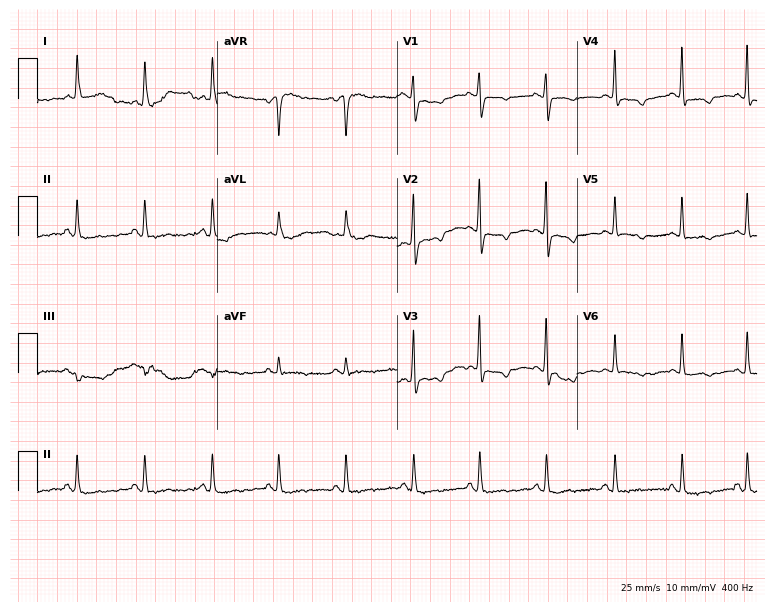
Electrocardiogram (7.3-second recording at 400 Hz), a 70-year-old woman. Of the six screened findings (first-degree AV block, right bundle branch block, left bundle branch block, sinus bradycardia, atrial fibrillation, sinus tachycardia), none is recorded.